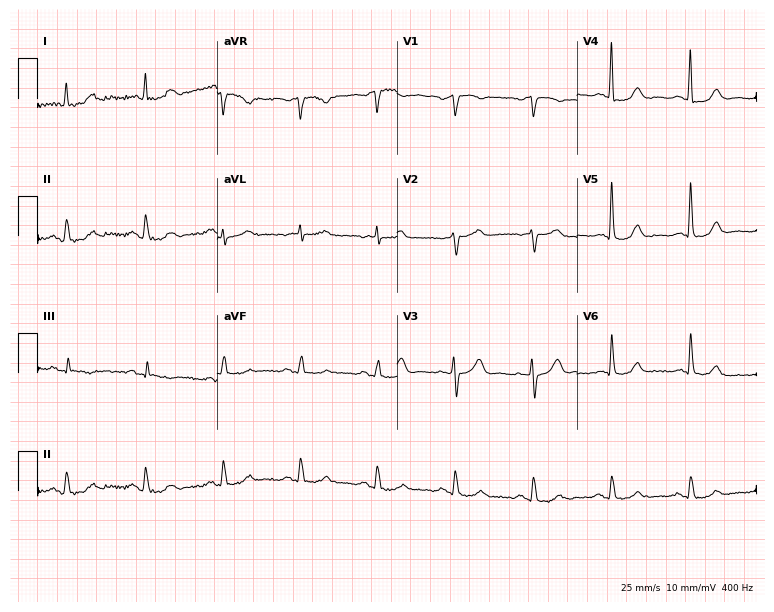
Resting 12-lead electrocardiogram (7.3-second recording at 400 Hz). Patient: a male, 80 years old. None of these six findings is recorded: first-degree AV block, right bundle branch block (RBBB), left bundle branch block (LBBB), sinus bradycardia, atrial fibrillation (AF), sinus tachycardia.